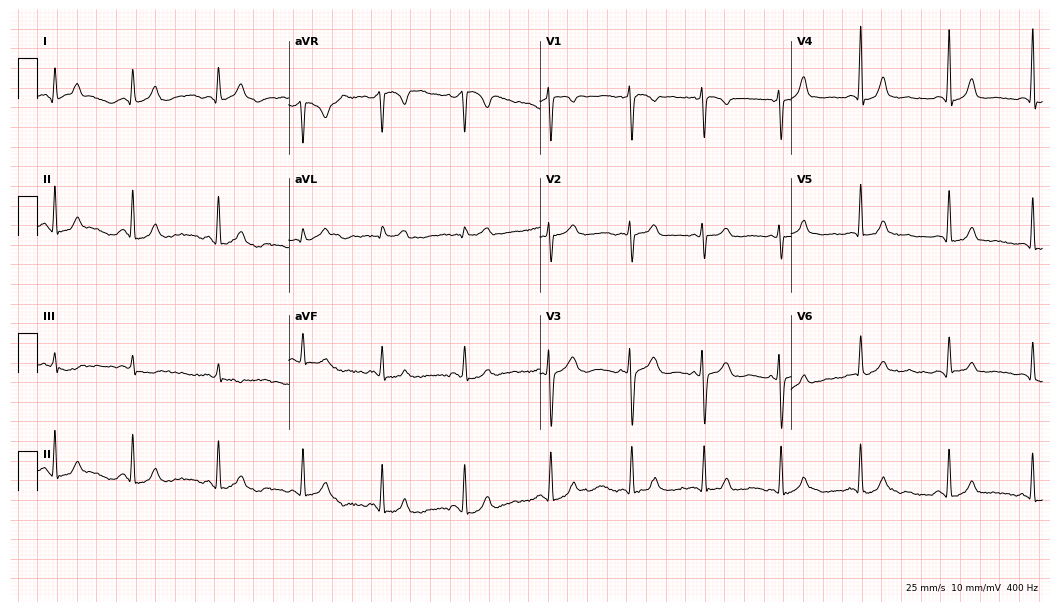
ECG — a 47-year-old female. Labelled as a normal ECG.